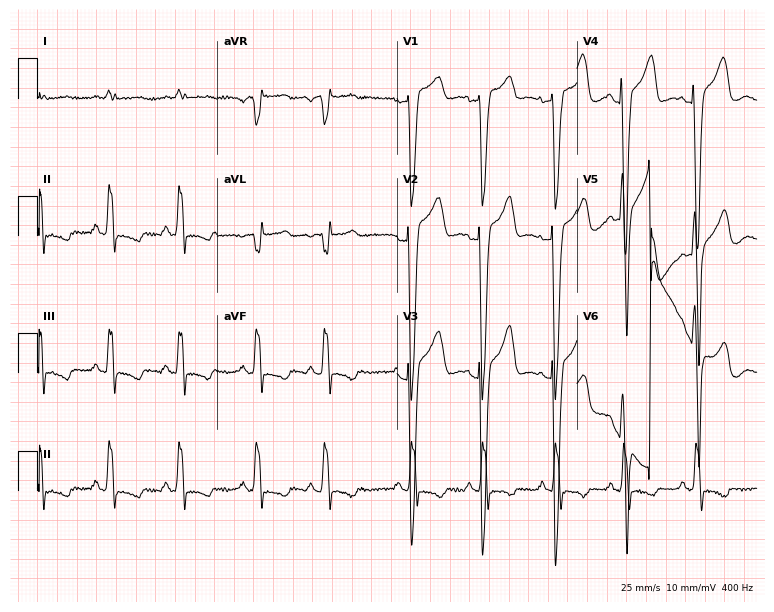
12-lead ECG from a female, 79 years old (7.3-second recording at 400 Hz). Shows left bundle branch block.